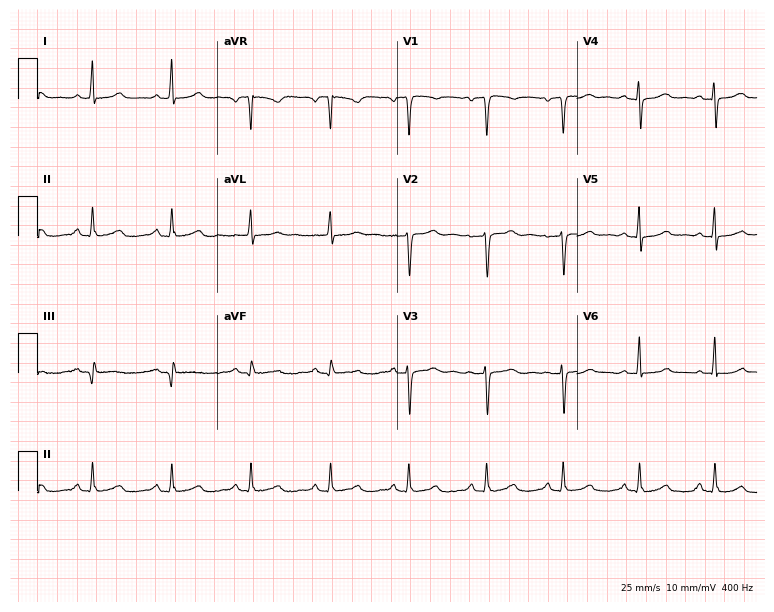
Resting 12-lead electrocardiogram (7.3-second recording at 400 Hz). Patient: a 50-year-old woman. Read as a normal ECG.